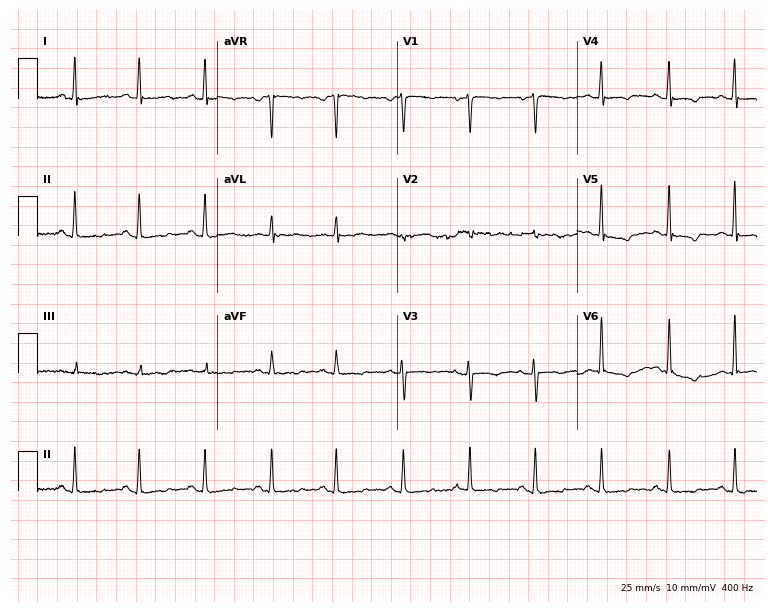
12-lead ECG (7.3-second recording at 400 Hz) from a woman, 34 years old. Screened for six findings — first-degree AV block, right bundle branch block, left bundle branch block, sinus bradycardia, atrial fibrillation, sinus tachycardia — none is recorded. Only these six findings were labelled.